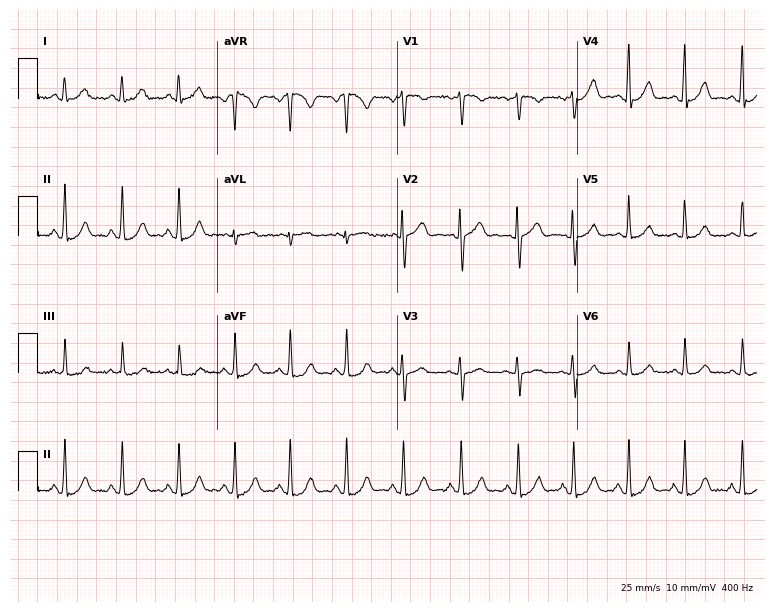
Electrocardiogram, a female, 20 years old. Interpretation includes sinus tachycardia (a sinus rate of 100 beats per minute or more).